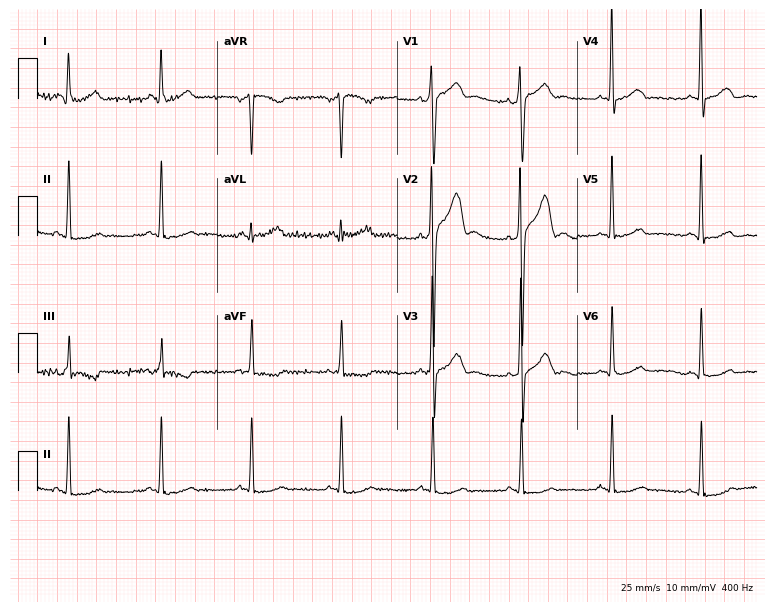
12-lead ECG (7.3-second recording at 400 Hz) from a 40-year-old male. Screened for six findings — first-degree AV block, right bundle branch block, left bundle branch block, sinus bradycardia, atrial fibrillation, sinus tachycardia — none is recorded. Only these six findings were labelled.